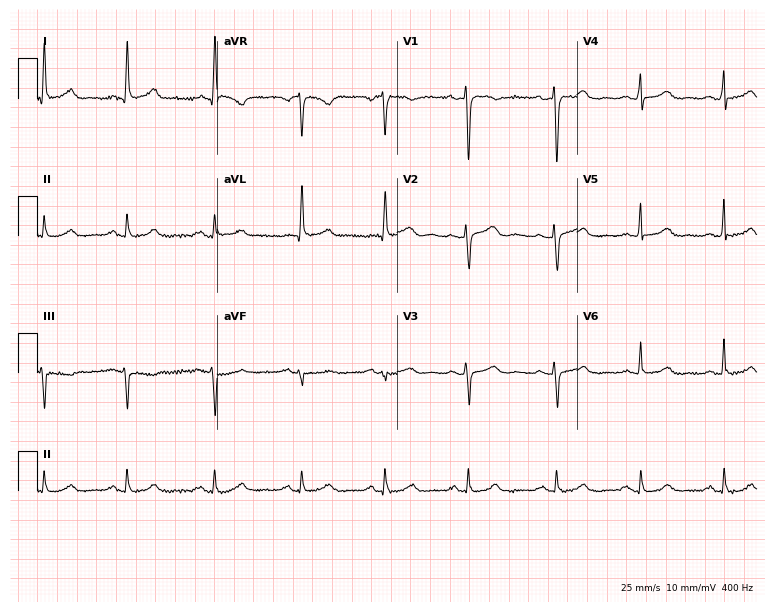
12-lead ECG from a 54-year-old female. Labelled as a normal ECG.